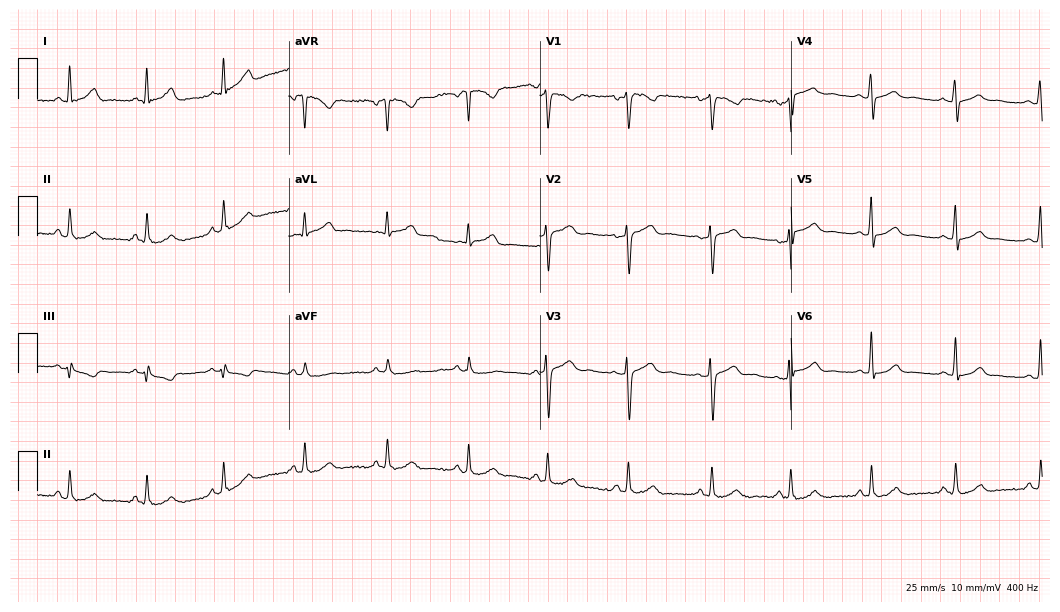
12-lead ECG from a female patient, 32 years old (10.2-second recording at 400 Hz). Recorded interpretation: within normal limits.